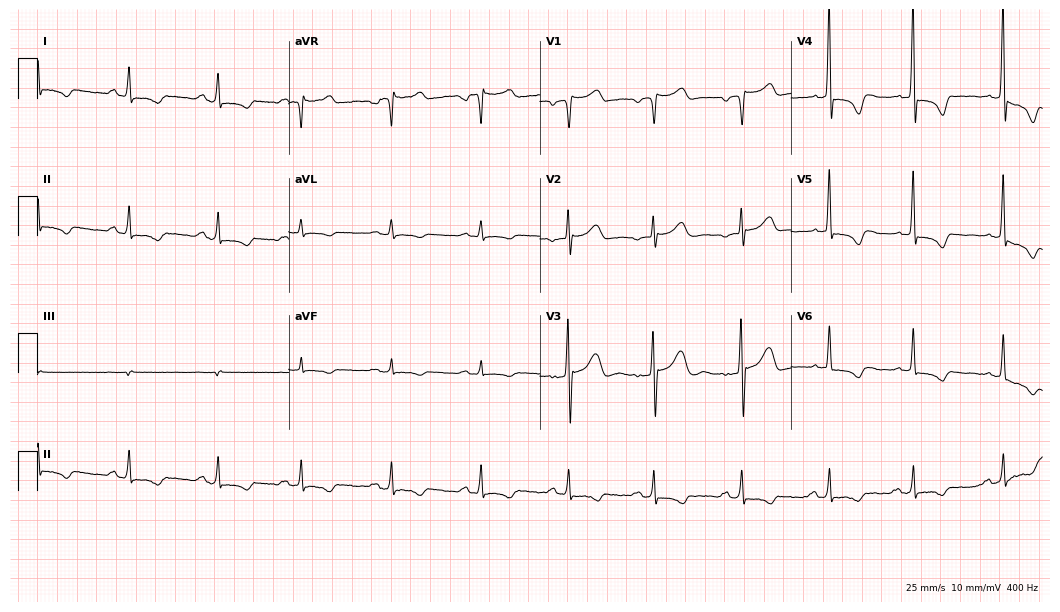
12-lead ECG from a woman, 84 years old. Screened for six findings — first-degree AV block, right bundle branch block (RBBB), left bundle branch block (LBBB), sinus bradycardia, atrial fibrillation (AF), sinus tachycardia — none is recorded. Only these six findings were labelled.